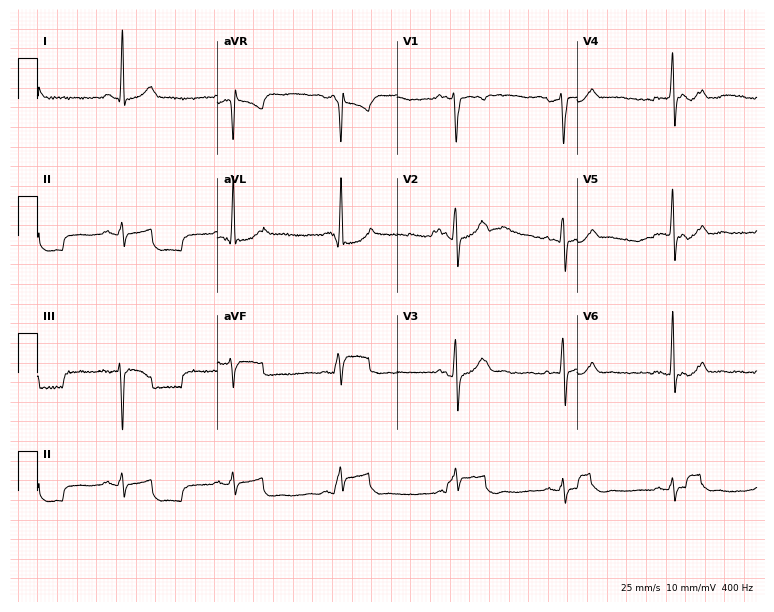
ECG (7.3-second recording at 400 Hz) — a male patient, 42 years old. Screened for six findings — first-degree AV block, right bundle branch block, left bundle branch block, sinus bradycardia, atrial fibrillation, sinus tachycardia — none is recorded.